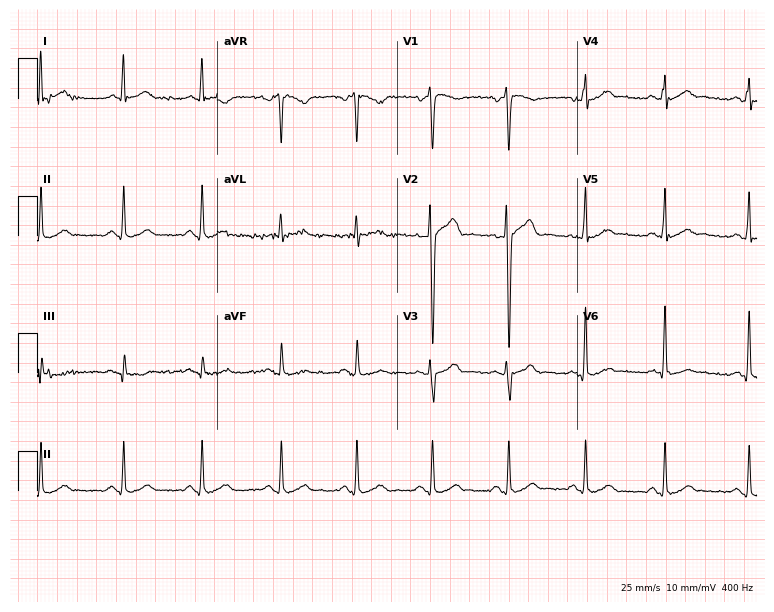
Resting 12-lead electrocardiogram. Patient: a male, 32 years old. Read as a normal ECG.